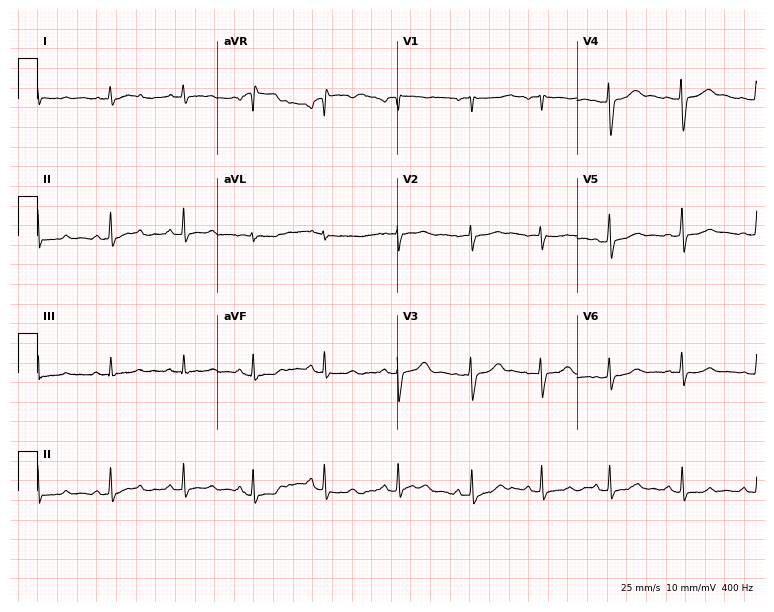
Electrocardiogram (7.3-second recording at 400 Hz), a female, 27 years old. Overall reading on record: normal ECG.